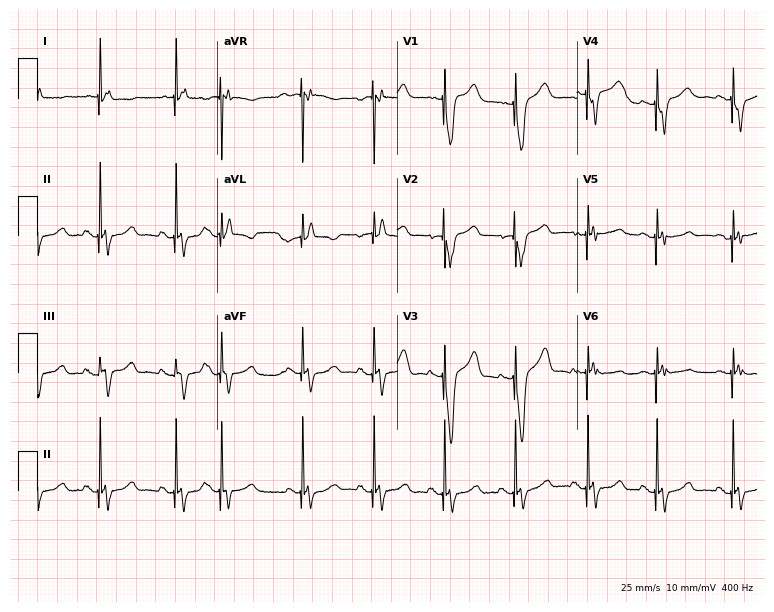
12-lead ECG from an 84-year-old female patient. No first-degree AV block, right bundle branch block (RBBB), left bundle branch block (LBBB), sinus bradycardia, atrial fibrillation (AF) or sinus tachycardia recorded for this tracing. Other findings, if any, are not listed.